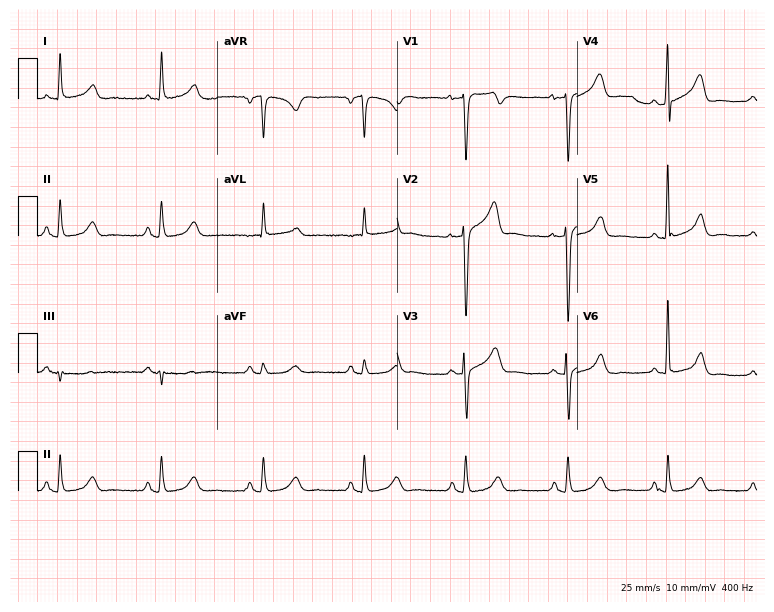
12-lead ECG from a male, 70 years old (7.3-second recording at 400 Hz). Recorded interpretation: within normal limits.